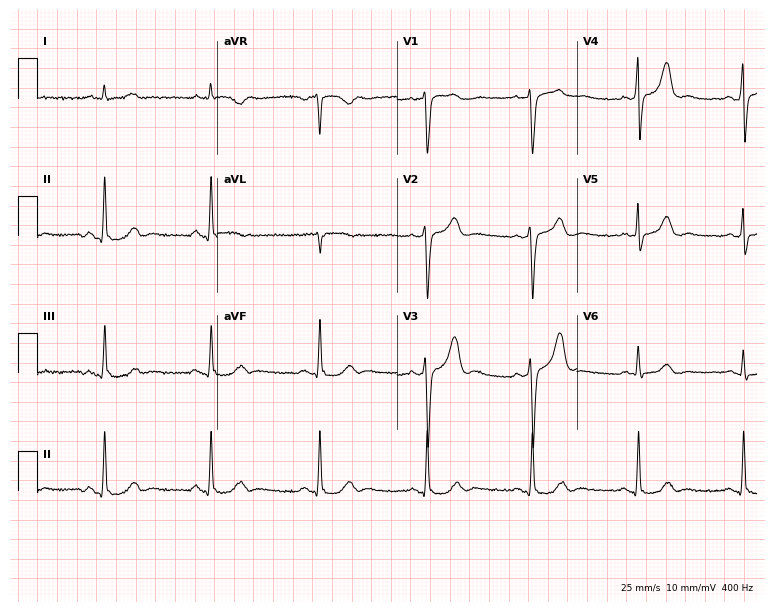
Standard 12-lead ECG recorded from a 33-year-old male. None of these six findings is recorded: first-degree AV block, right bundle branch block, left bundle branch block, sinus bradycardia, atrial fibrillation, sinus tachycardia. Findings outside these six are not listed.